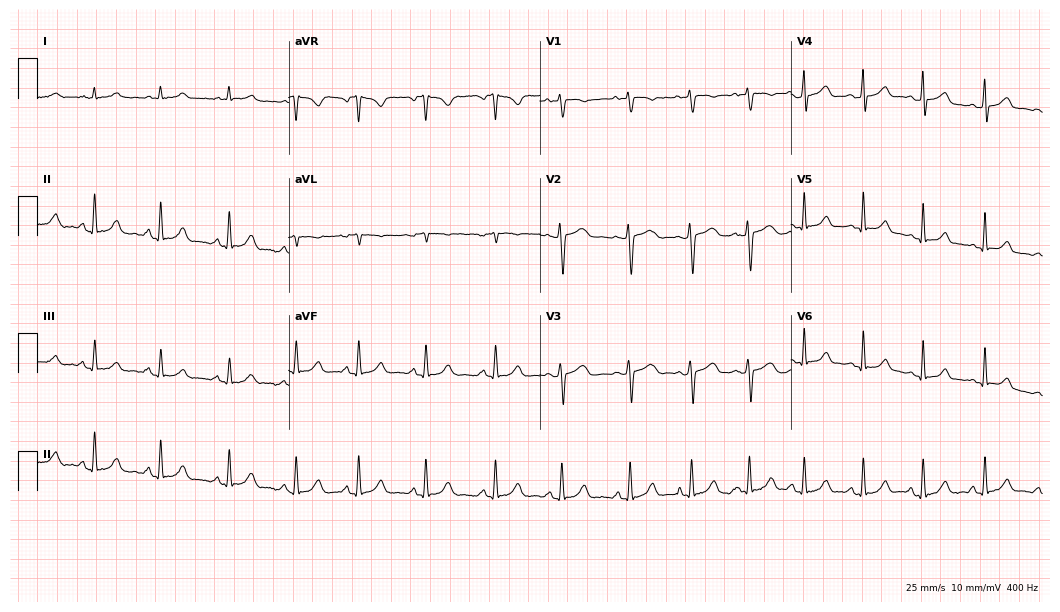
Standard 12-lead ECG recorded from a woman, 21 years old. None of these six findings is recorded: first-degree AV block, right bundle branch block, left bundle branch block, sinus bradycardia, atrial fibrillation, sinus tachycardia. Only these six findings were labelled.